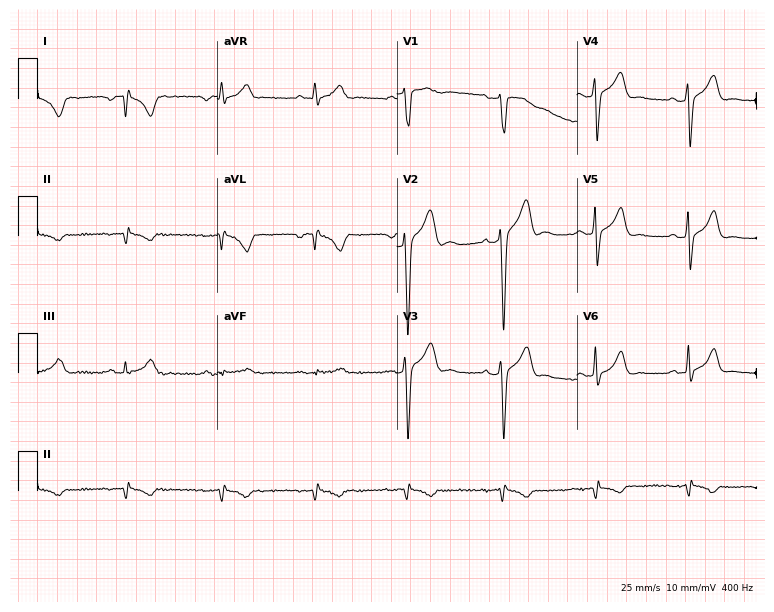
Electrocardiogram, a man, 27 years old. Of the six screened findings (first-degree AV block, right bundle branch block (RBBB), left bundle branch block (LBBB), sinus bradycardia, atrial fibrillation (AF), sinus tachycardia), none is recorded.